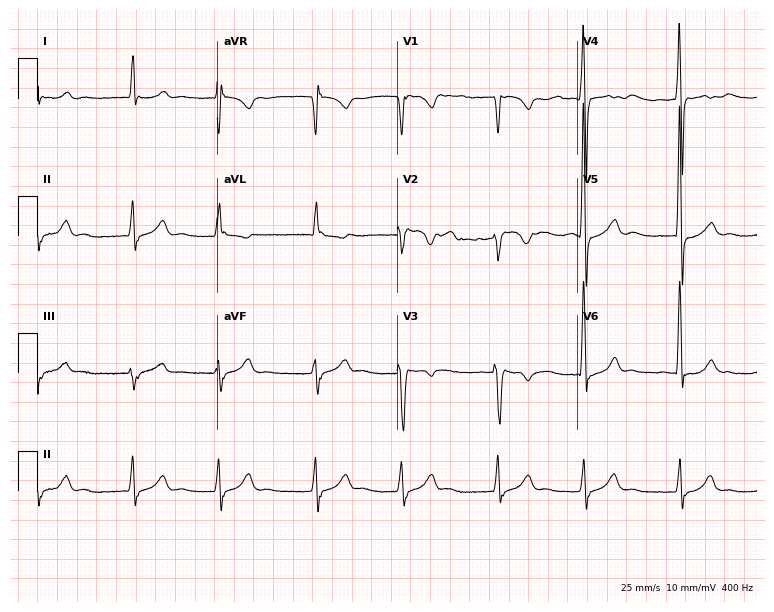
12-lead ECG (7.3-second recording at 400 Hz) from a 50-year-old female patient. Screened for six findings — first-degree AV block, right bundle branch block, left bundle branch block, sinus bradycardia, atrial fibrillation, sinus tachycardia — none is recorded. Other findings, if any, are not listed.